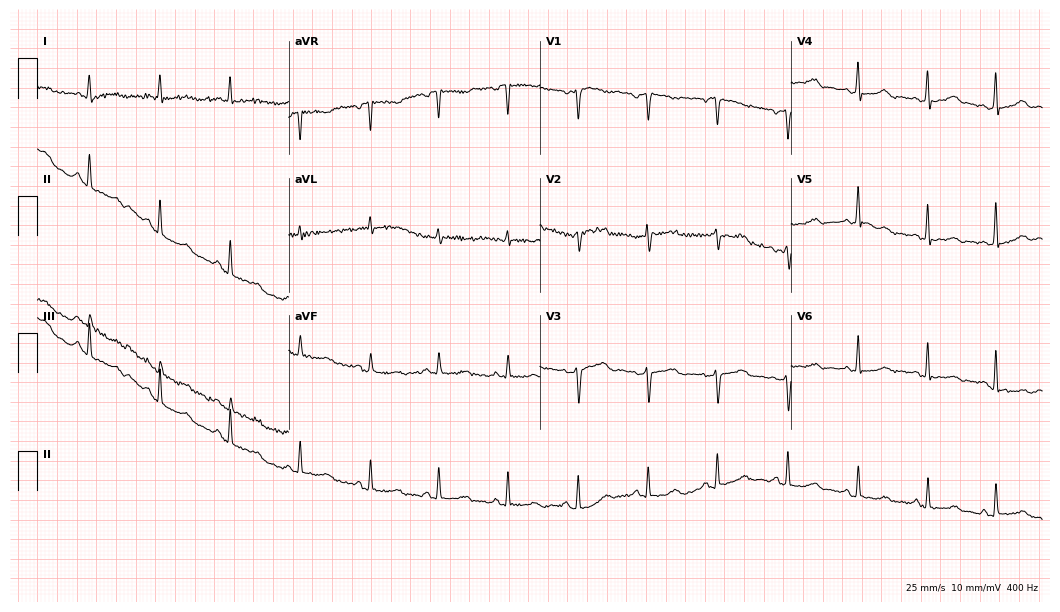
Resting 12-lead electrocardiogram (10.2-second recording at 400 Hz). Patient: a 61-year-old woman. Read as a normal ECG.